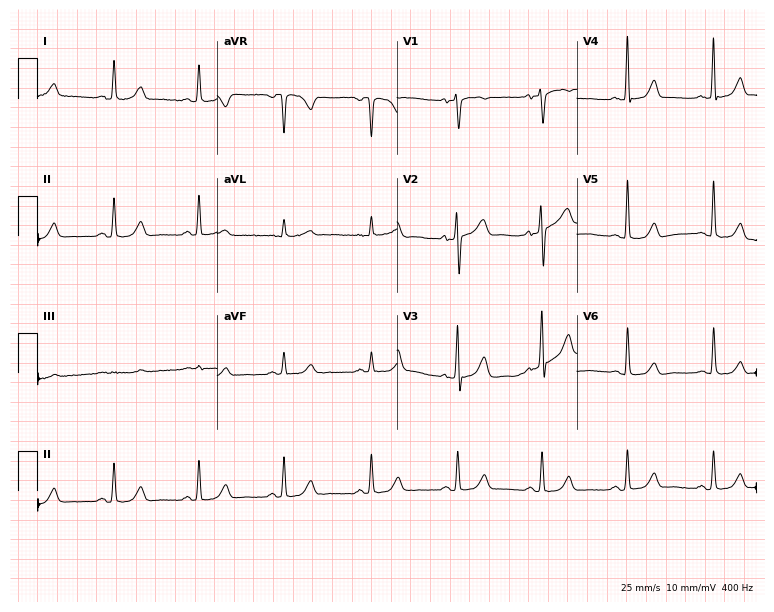
12-lead ECG (7.3-second recording at 400 Hz) from a female, 58 years old. Screened for six findings — first-degree AV block, right bundle branch block, left bundle branch block, sinus bradycardia, atrial fibrillation, sinus tachycardia — none is recorded. Other findings, if any, are not listed.